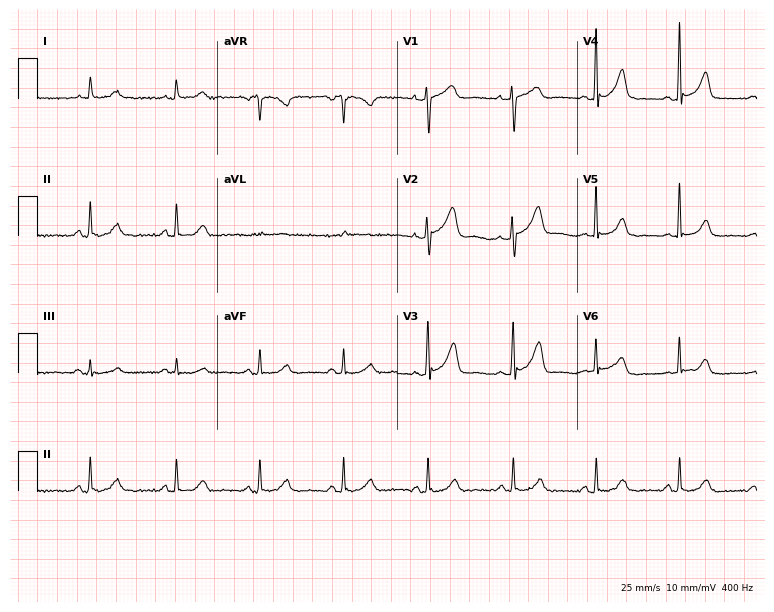
Electrocardiogram, a woman, 58 years old. Of the six screened findings (first-degree AV block, right bundle branch block, left bundle branch block, sinus bradycardia, atrial fibrillation, sinus tachycardia), none is recorded. Findings outside these six are not listed.